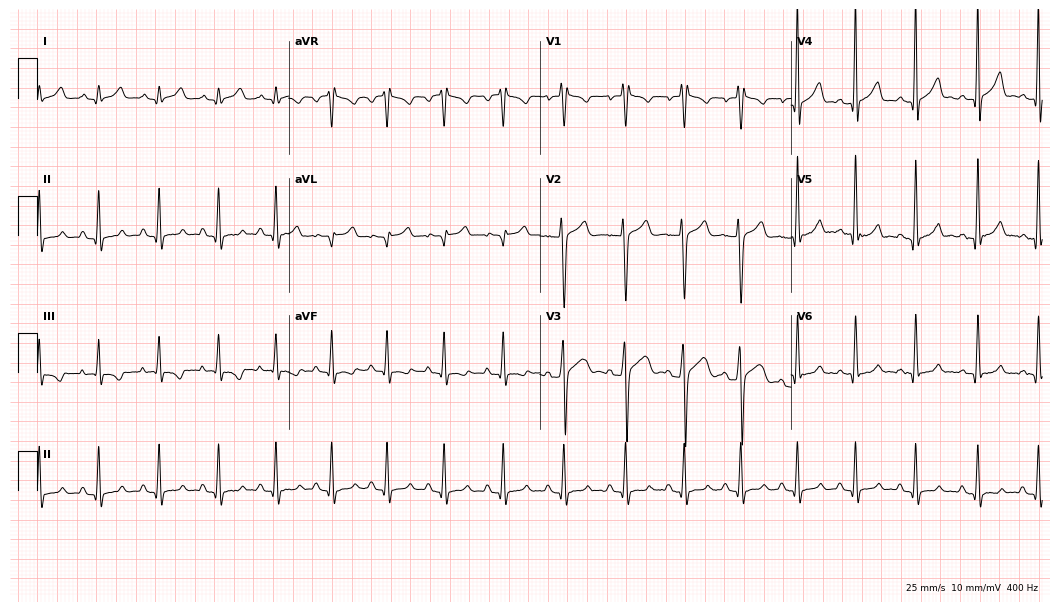
Resting 12-lead electrocardiogram (10.2-second recording at 400 Hz). Patient: a 20-year-old male. None of these six findings is recorded: first-degree AV block, right bundle branch block, left bundle branch block, sinus bradycardia, atrial fibrillation, sinus tachycardia. Other findings, if any, are not listed.